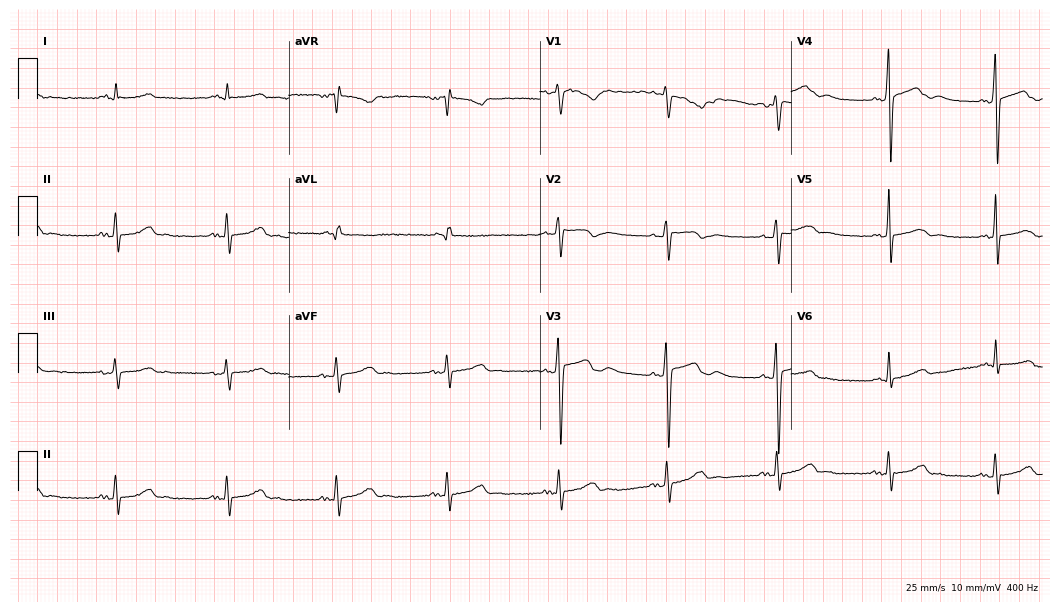
12-lead ECG from a 41-year-old man (10.2-second recording at 400 Hz). Recorded interpretation: within normal limits.